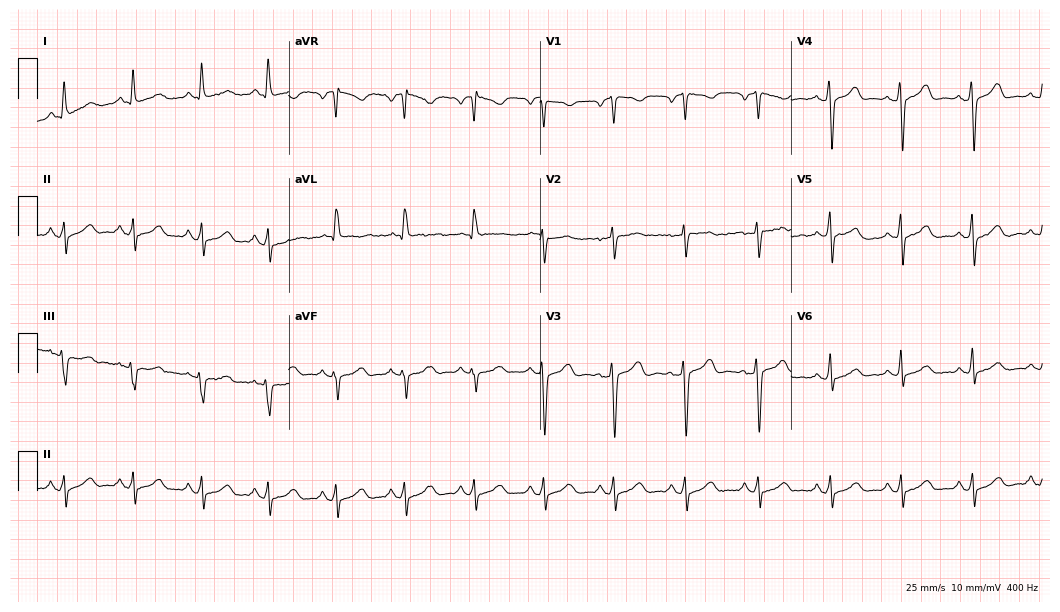
Resting 12-lead electrocardiogram (10.2-second recording at 400 Hz). Patient: a woman, 53 years old. None of these six findings is recorded: first-degree AV block, right bundle branch block, left bundle branch block, sinus bradycardia, atrial fibrillation, sinus tachycardia.